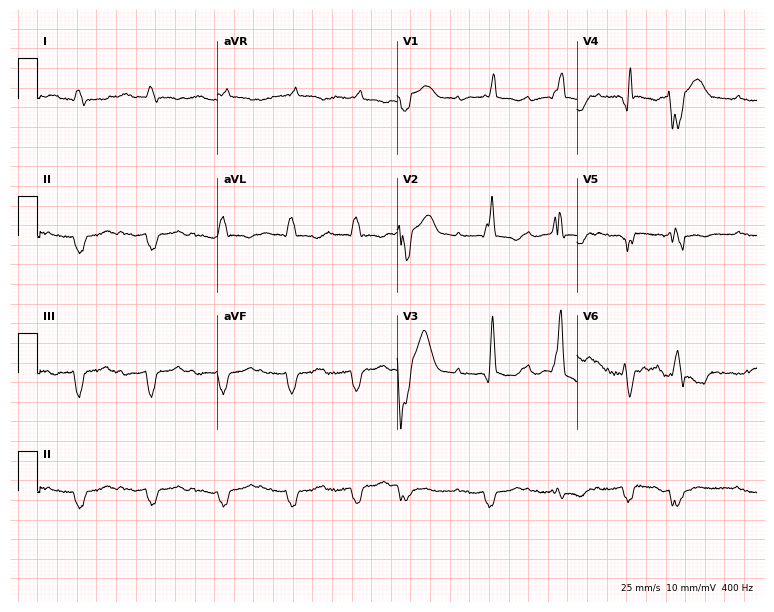
Resting 12-lead electrocardiogram (7.3-second recording at 400 Hz). Patient: a 79-year-old male. None of these six findings is recorded: first-degree AV block, right bundle branch block, left bundle branch block, sinus bradycardia, atrial fibrillation, sinus tachycardia. Findings outside these six are not listed.